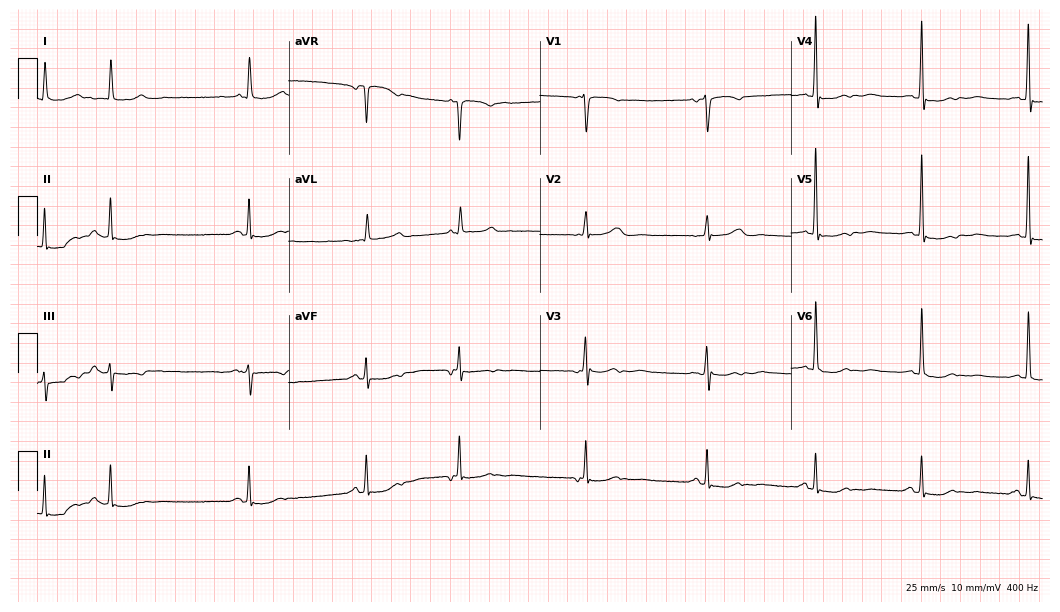
Standard 12-lead ECG recorded from a woman, 85 years old. None of these six findings is recorded: first-degree AV block, right bundle branch block (RBBB), left bundle branch block (LBBB), sinus bradycardia, atrial fibrillation (AF), sinus tachycardia. Findings outside these six are not listed.